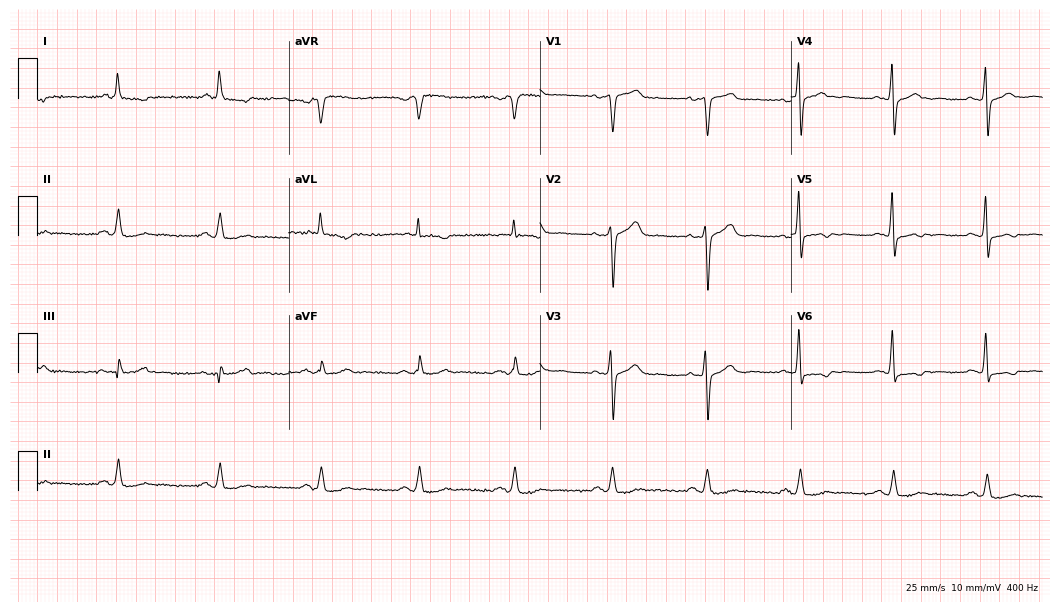
12-lead ECG from a 68-year-old male (10.2-second recording at 400 Hz). No first-degree AV block, right bundle branch block, left bundle branch block, sinus bradycardia, atrial fibrillation or sinus tachycardia recorded for this tracing.